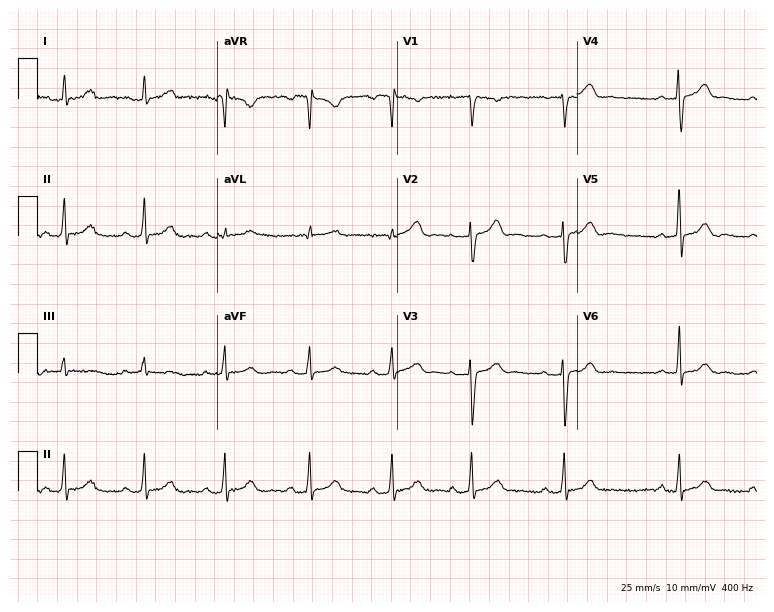
12-lead ECG (7.3-second recording at 400 Hz) from a woman, 31 years old. Labelled as a normal ECG.